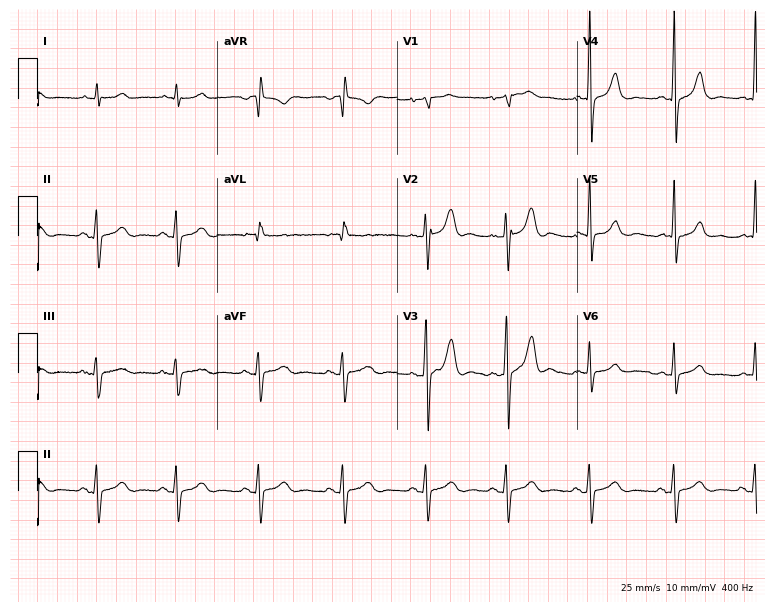
12-lead ECG from a male, 38 years old. Screened for six findings — first-degree AV block, right bundle branch block (RBBB), left bundle branch block (LBBB), sinus bradycardia, atrial fibrillation (AF), sinus tachycardia — none is recorded. Other findings, if any, are not listed.